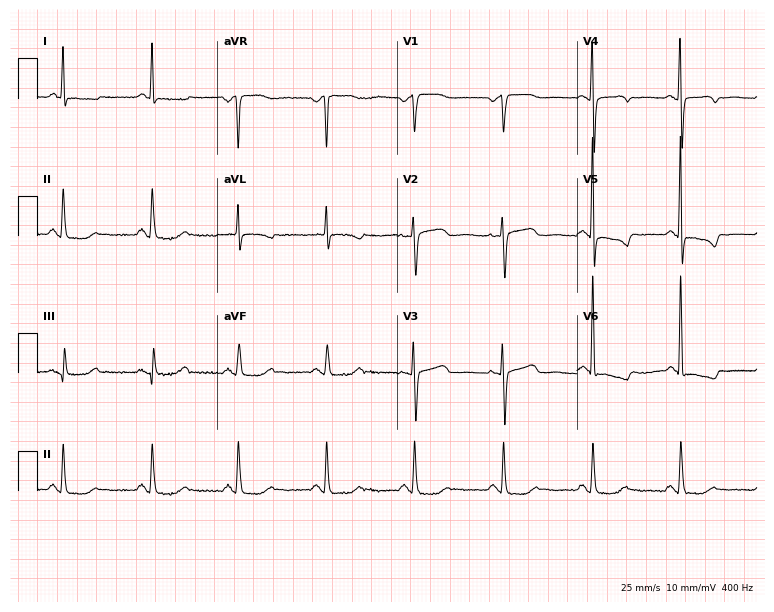
12-lead ECG (7.3-second recording at 400 Hz) from a 74-year-old female patient. Screened for six findings — first-degree AV block, right bundle branch block, left bundle branch block, sinus bradycardia, atrial fibrillation, sinus tachycardia — none is recorded.